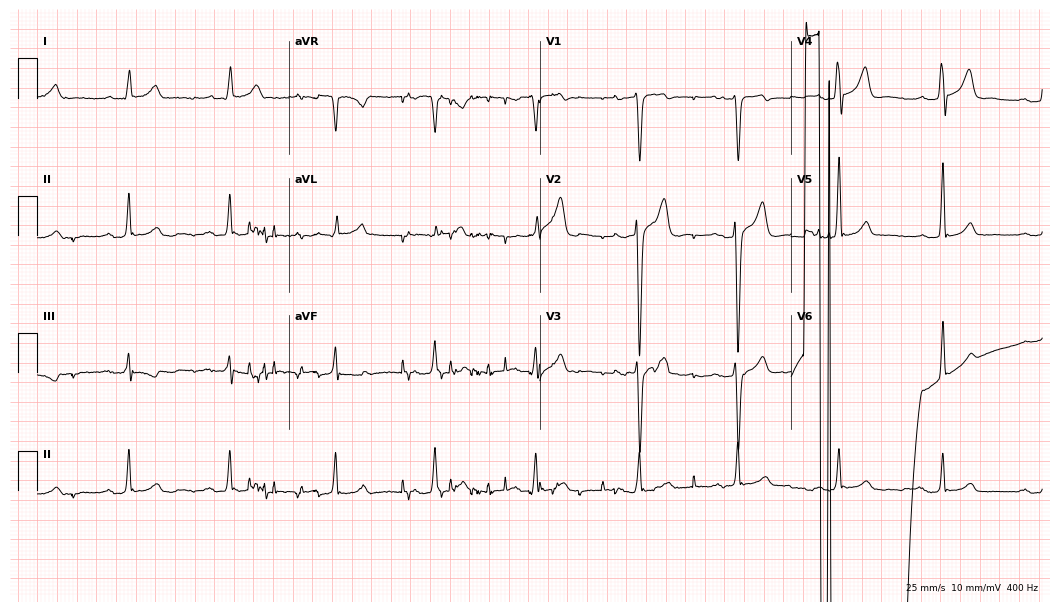
12-lead ECG (10.2-second recording at 400 Hz) from a male, 55 years old. Screened for six findings — first-degree AV block, right bundle branch block, left bundle branch block, sinus bradycardia, atrial fibrillation, sinus tachycardia — none is recorded.